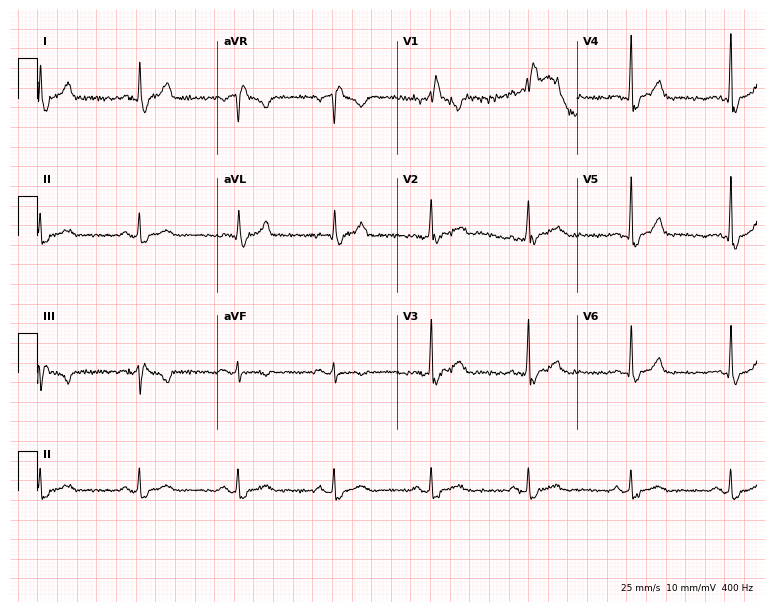
Electrocardiogram, a 44-year-old male. Interpretation includes right bundle branch block.